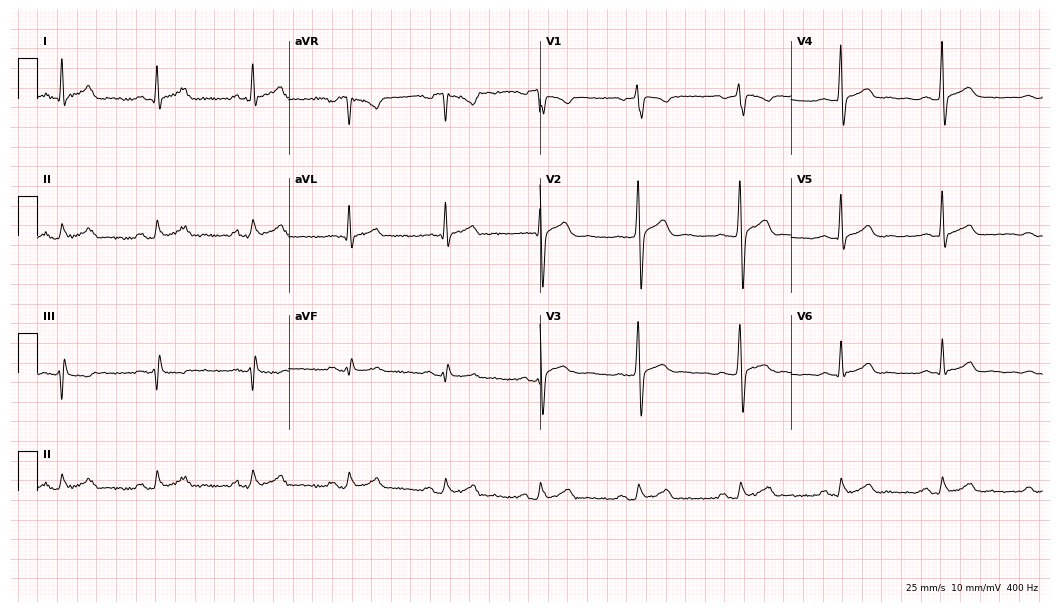
Resting 12-lead electrocardiogram. Patient: a 40-year-old male. None of these six findings is recorded: first-degree AV block, right bundle branch block, left bundle branch block, sinus bradycardia, atrial fibrillation, sinus tachycardia. Only these six findings were labelled.